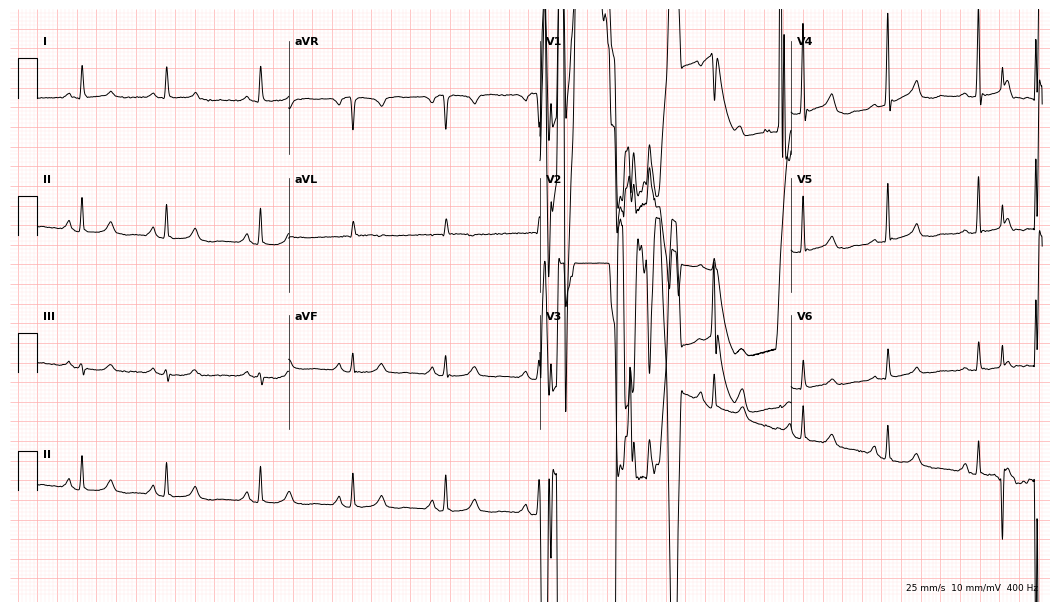
Electrocardiogram (10.2-second recording at 400 Hz), a 60-year-old man. Of the six screened findings (first-degree AV block, right bundle branch block (RBBB), left bundle branch block (LBBB), sinus bradycardia, atrial fibrillation (AF), sinus tachycardia), none is recorded. Findings outside these six are not listed.